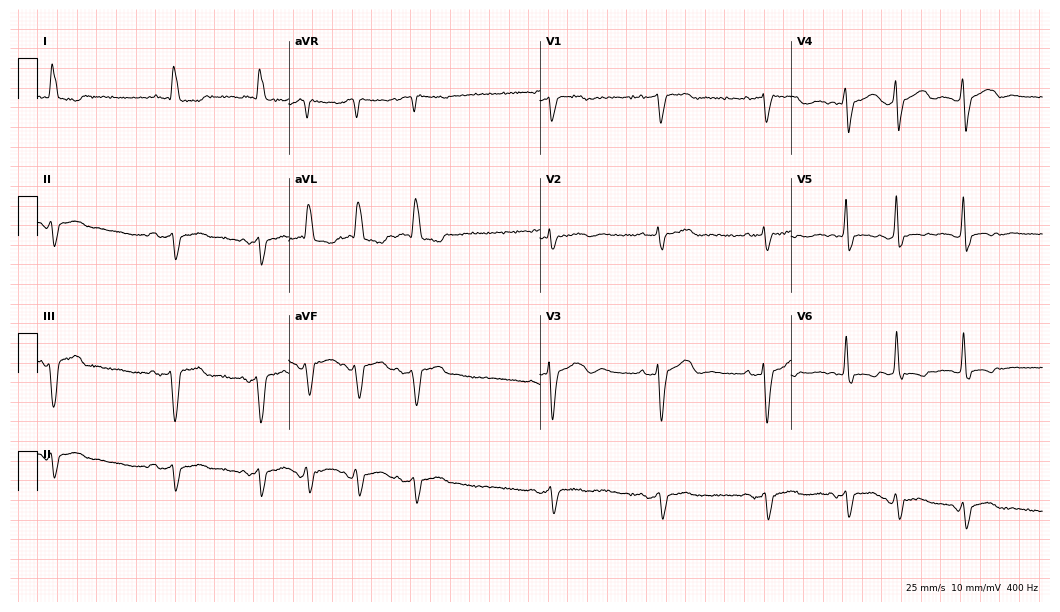
Electrocardiogram (10.2-second recording at 400 Hz), an 80-year-old female. Of the six screened findings (first-degree AV block, right bundle branch block, left bundle branch block, sinus bradycardia, atrial fibrillation, sinus tachycardia), none is recorded. Other findings, if any, are not listed.